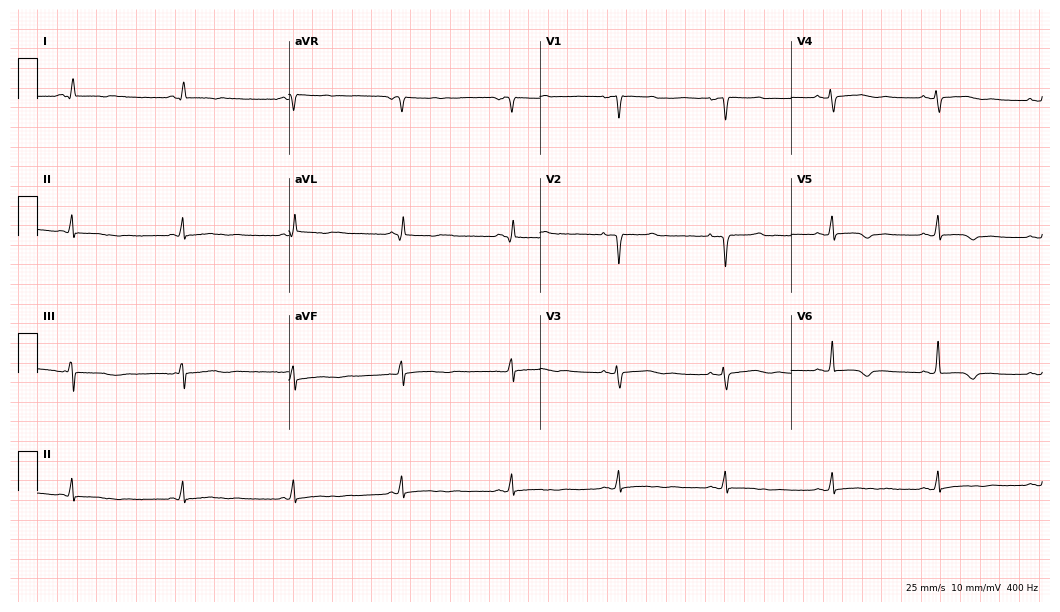
ECG (10.2-second recording at 400 Hz) — a woman, 51 years old. Screened for six findings — first-degree AV block, right bundle branch block, left bundle branch block, sinus bradycardia, atrial fibrillation, sinus tachycardia — none is recorded.